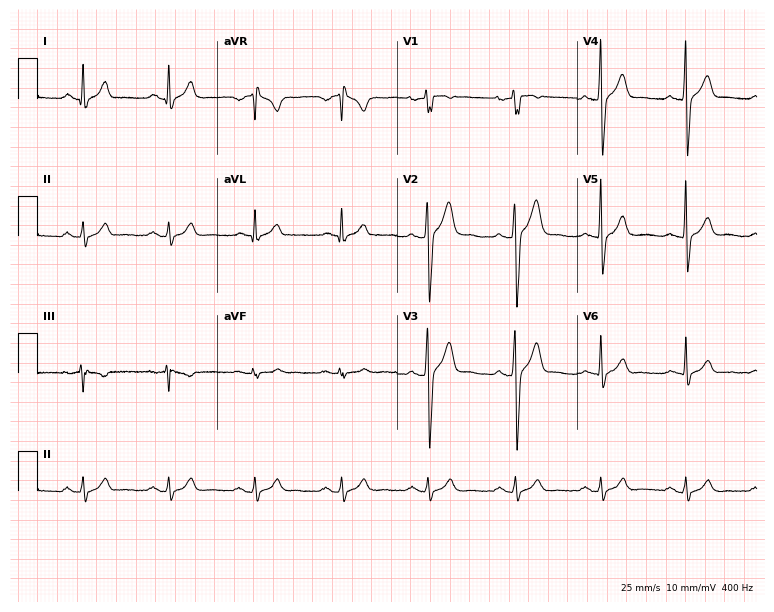
12-lead ECG from a 32-year-old man (7.3-second recording at 400 Hz). Recorded interpretation: within normal limits.